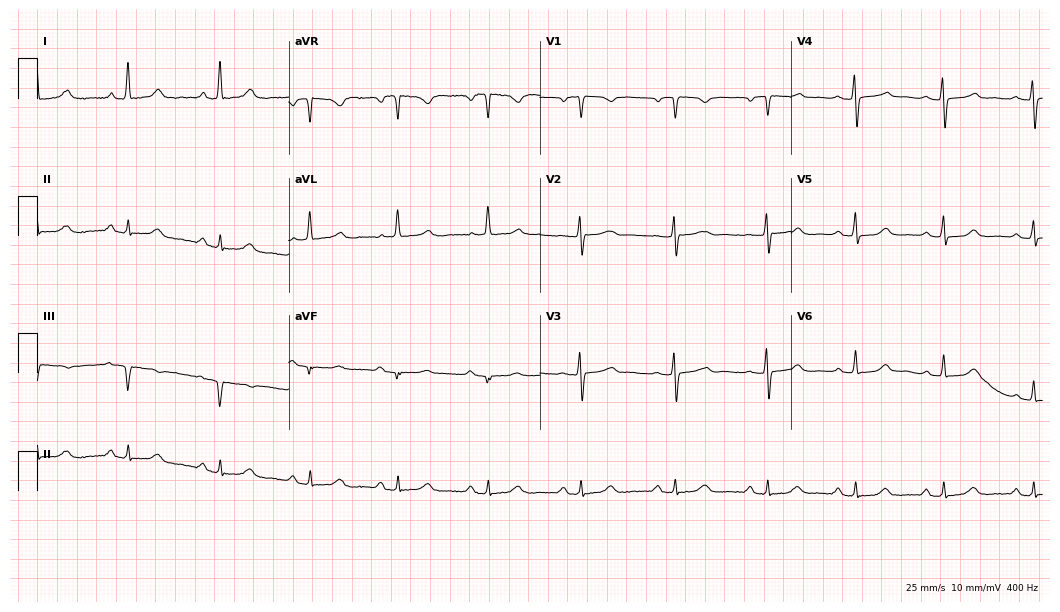
ECG (10.2-second recording at 400 Hz) — a woman, 65 years old. Labelled as a normal ECG.